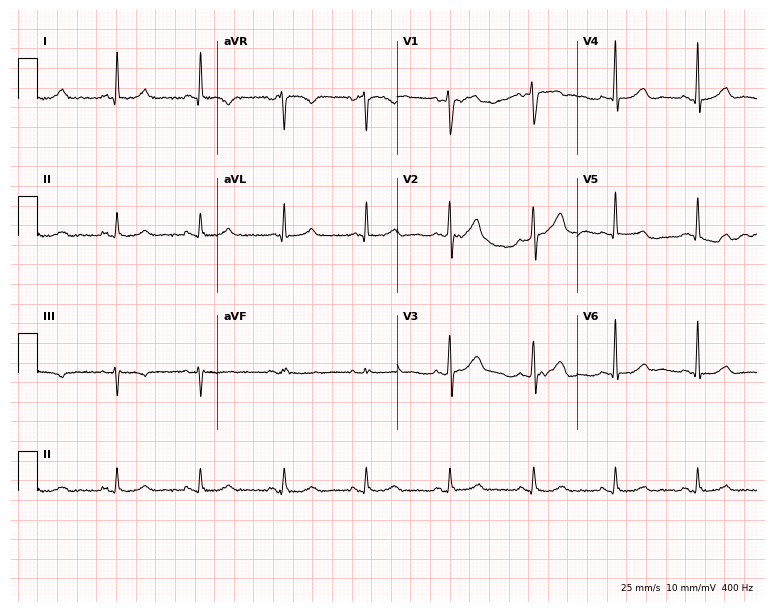
12-lead ECG from a man, 70 years old. Screened for six findings — first-degree AV block, right bundle branch block, left bundle branch block, sinus bradycardia, atrial fibrillation, sinus tachycardia — none is recorded.